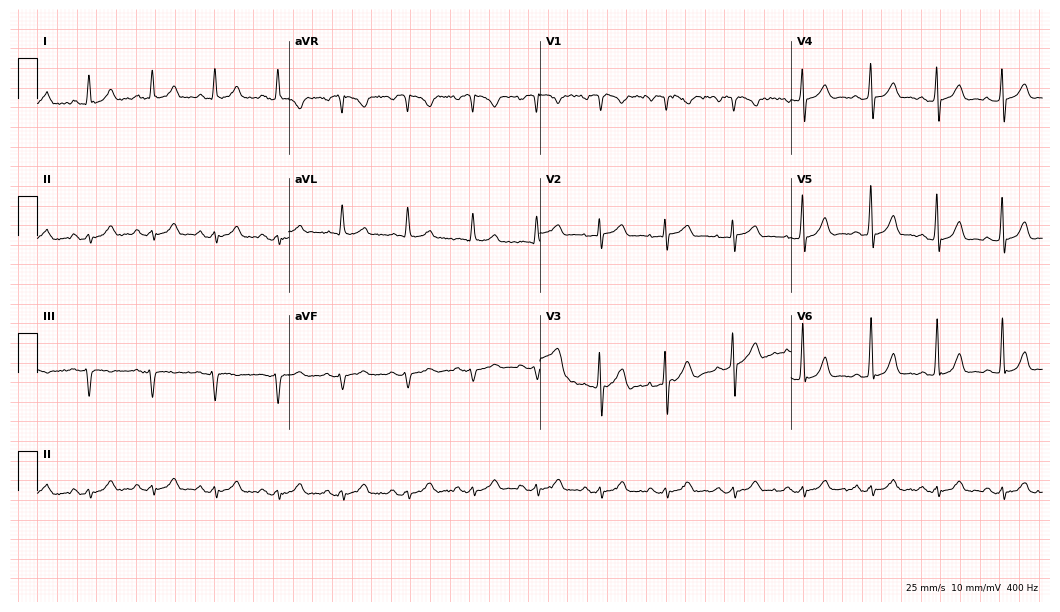
12-lead ECG (10.2-second recording at 400 Hz) from a man, 55 years old. Screened for six findings — first-degree AV block, right bundle branch block, left bundle branch block, sinus bradycardia, atrial fibrillation, sinus tachycardia — none is recorded. Findings outside these six are not listed.